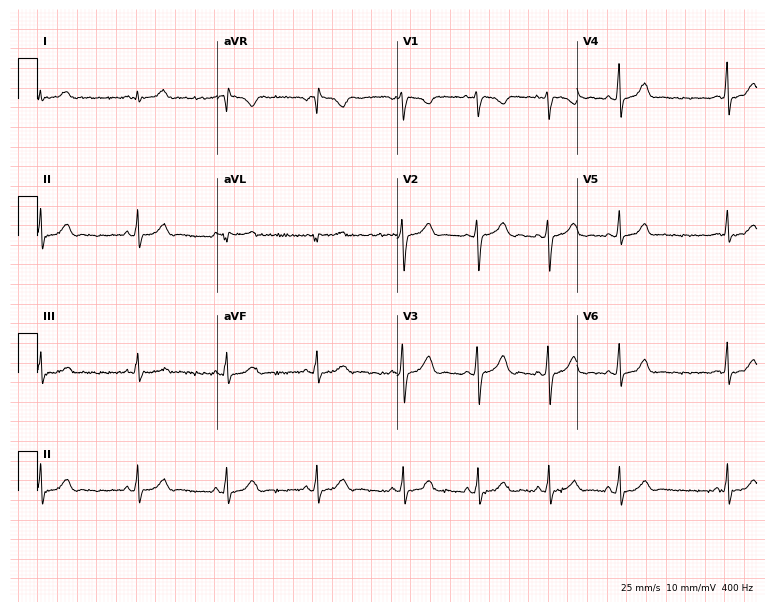
12-lead ECG (7.3-second recording at 400 Hz) from a 26-year-old woman. Labelled as a normal ECG.